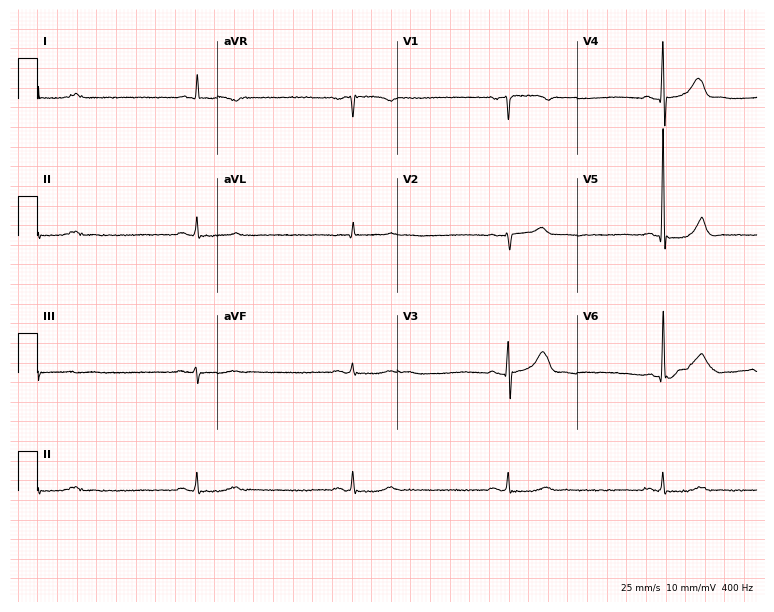
Resting 12-lead electrocardiogram. Patient: a male, 79 years old. None of these six findings is recorded: first-degree AV block, right bundle branch block (RBBB), left bundle branch block (LBBB), sinus bradycardia, atrial fibrillation (AF), sinus tachycardia.